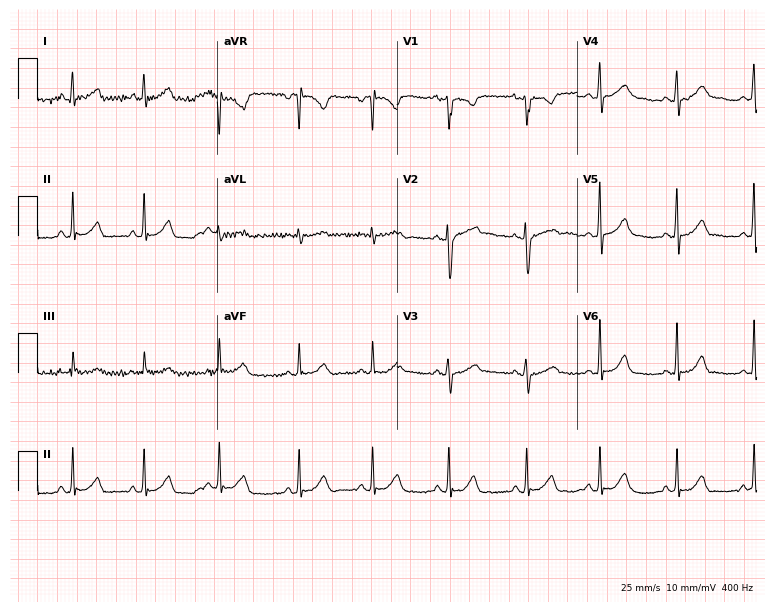
Resting 12-lead electrocardiogram. Patient: a 17-year-old woman. Read as a normal ECG.